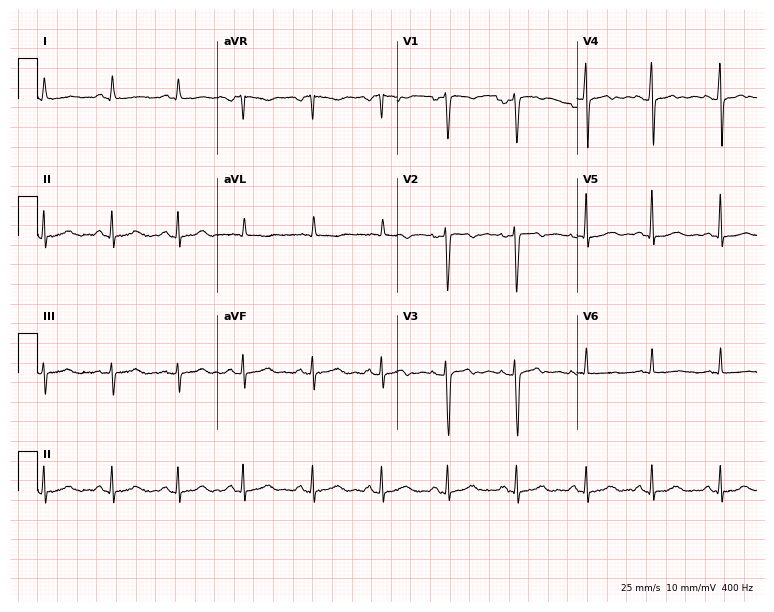
Standard 12-lead ECG recorded from a female, 58 years old. None of these six findings is recorded: first-degree AV block, right bundle branch block, left bundle branch block, sinus bradycardia, atrial fibrillation, sinus tachycardia. Other findings, if any, are not listed.